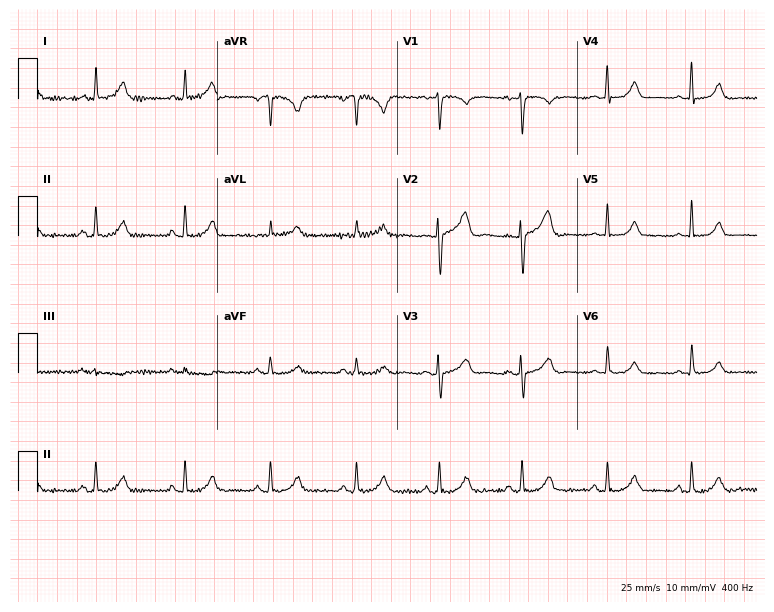
Electrocardiogram (7.3-second recording at 400 Hz), a female, 49 years old. Of the six screened findings (first-degree AV block, right bundle branch block, left bundle branch block, sinus bradycardia, atrial fibrillation, sinus tachycardia), none is recorded. Findings outside these six are not listed.